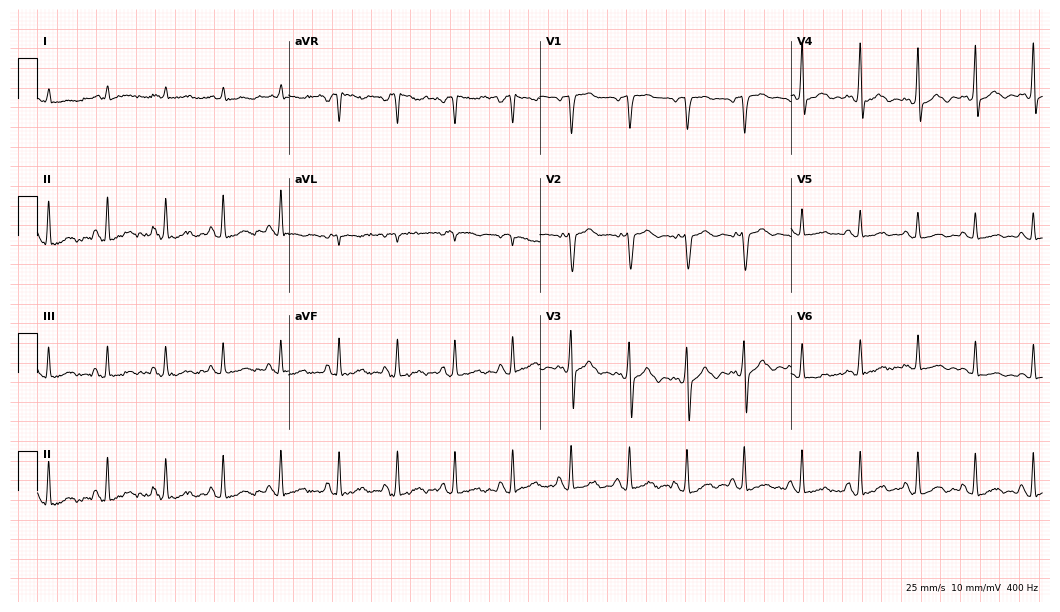
Resting 12-lead electrocardiogram (10.2-second recording at 400 Hz). Patient: a male, 75 years old. None of these six findings is recorded: first-degree AV block, right bundle branch block (RBBB), left bundle branch block (LBBB), sinus bradycardia, atrial fibrillation (AF), sinus tachycardia. Only these six findings were labelled.